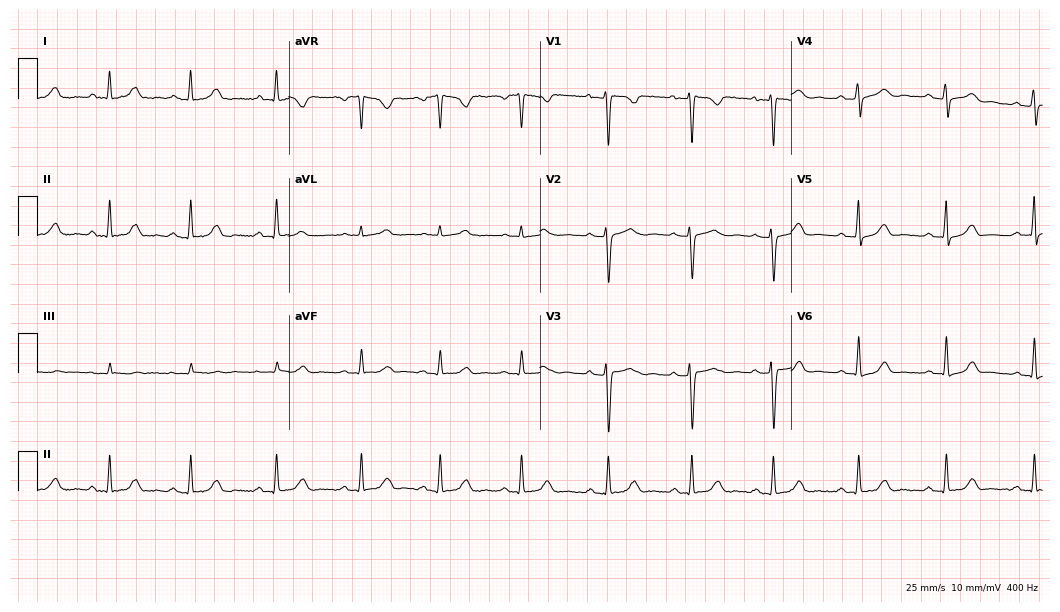
Standard 12-lead ECG recorded from a 35-year-old woman (10.2-second recording at 400 Hz). Read as a normal ECG.